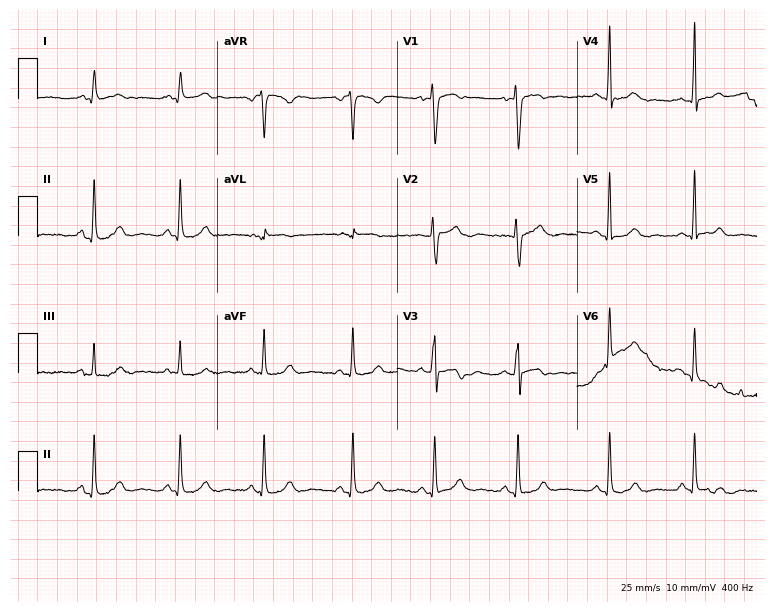
12-lead ECG from a female, 17 years old. Recorded interpretation: within normal limits.